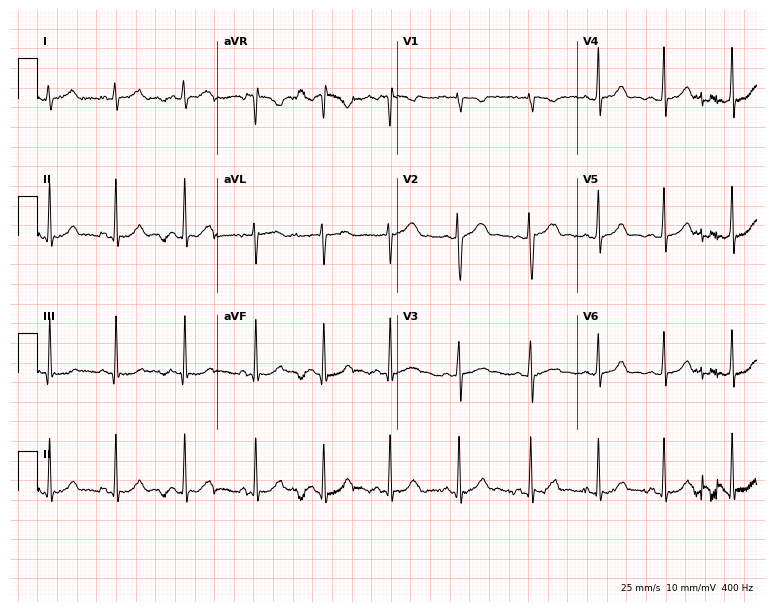
Electrocardiogram, a female patient, 21 years old. Overall reading on record: normal ECG.